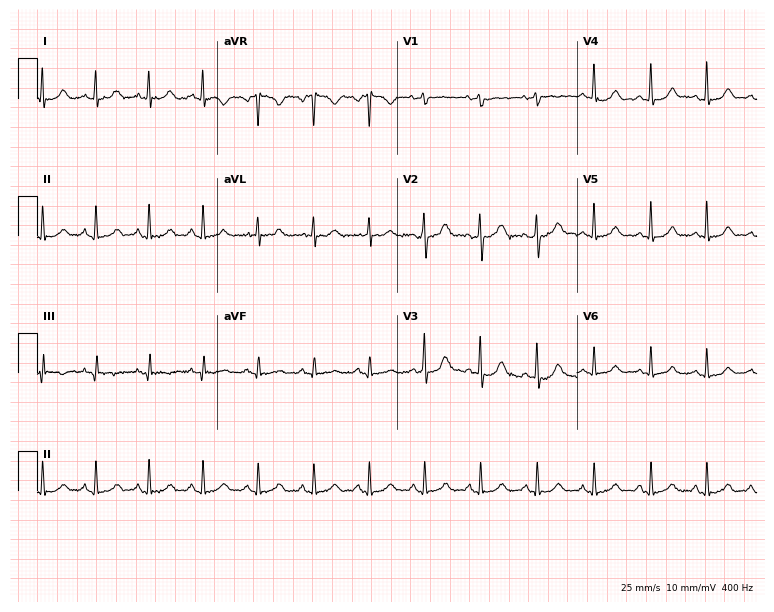
12-lead ECG (7.3-second recording at 400 Hz) from a woman, 23 years old. Findings include sinus tachycardia (a sinus rate of 100 beats per minute or more).